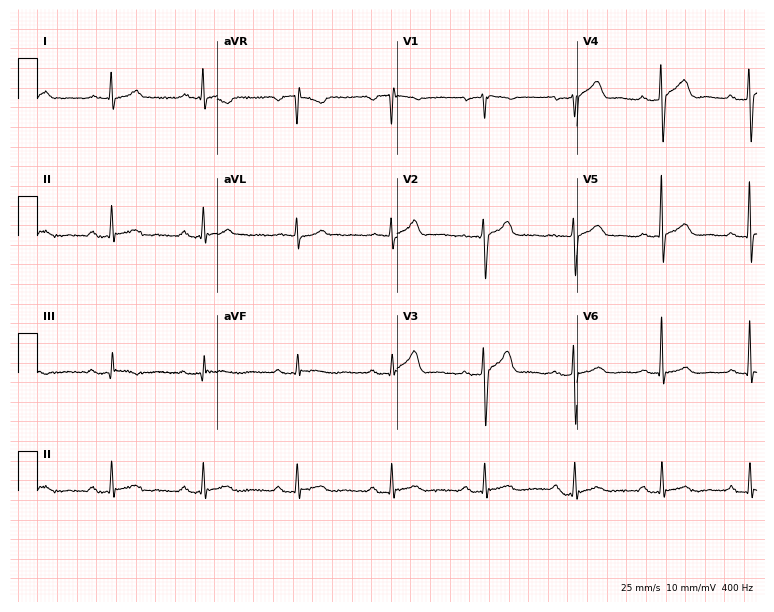
Resting 12-lead electrocardiogram (7.3-second recording at 400 Hz). Patient: a man, 61 years old. The tracing shows first-degree AV block.